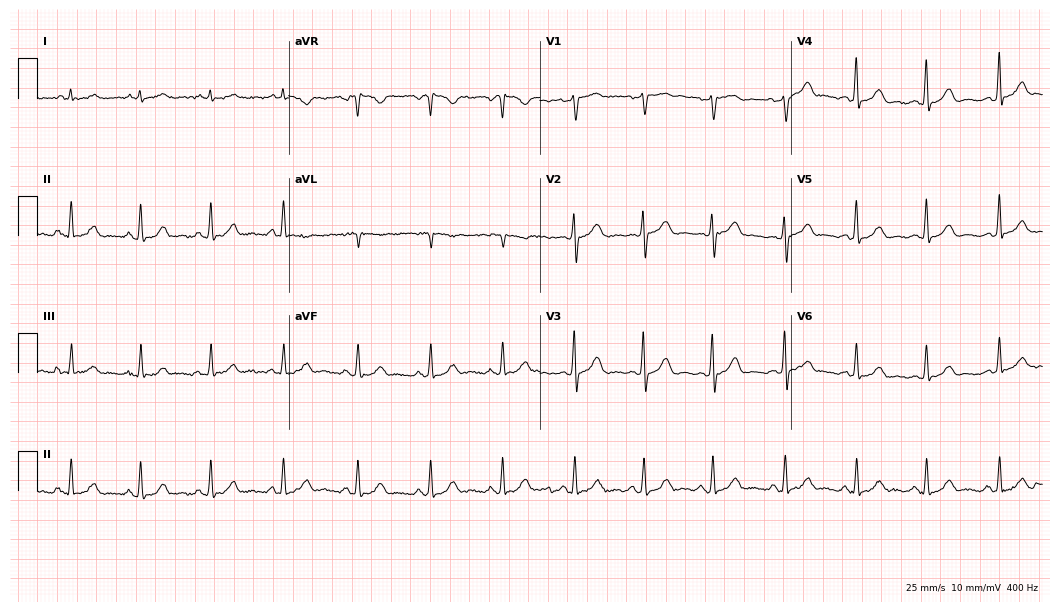
Electrocardiogram (10.2-second recording at 400 Hz), a 54-year-old female. Overall reading on record: normal ECG.